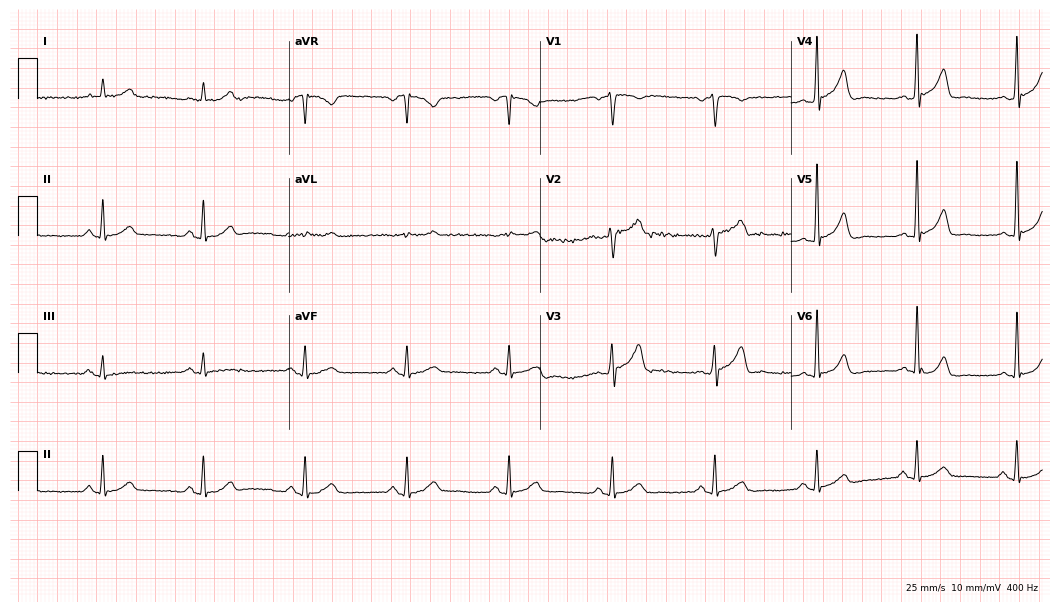
Standard 12-lead ECG recorded from a 54-year-old man. Read as a normal ECG.